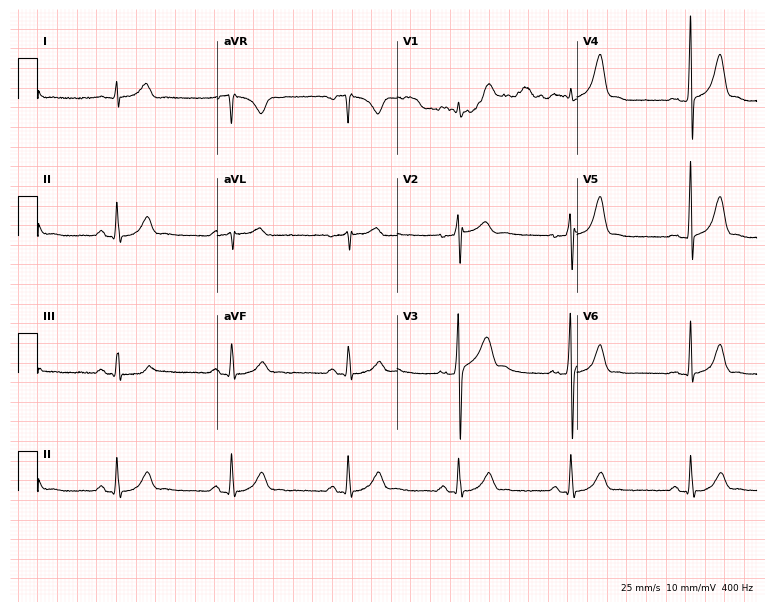
12-lead ECG (7.3-second recording at 400 Hz) from a 34-year-old male. Screened for six findings — first-degree AV block, right bundle branch block, left bundle branch block, sinus bradycardia, atrial fibrillation, sinus tachycardia — none is recorded. Other findings, if any, are not listed.